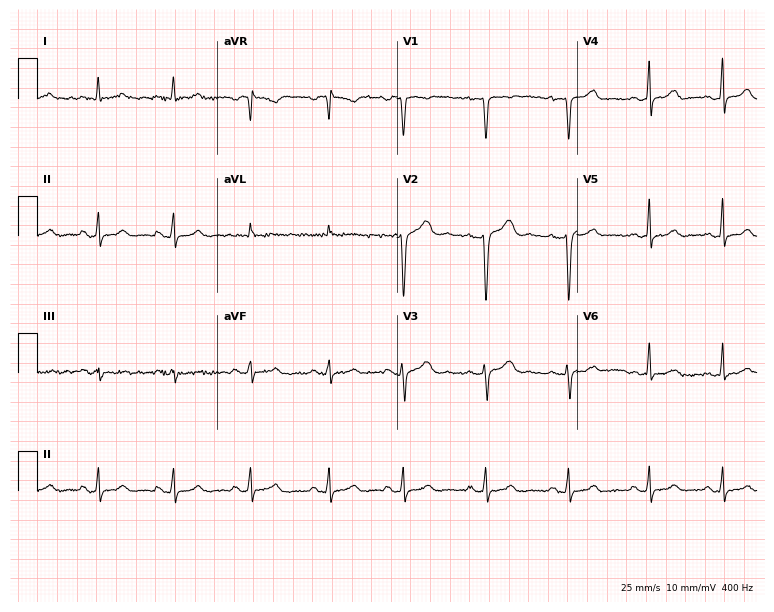
12-lead ECG from a 31-year-old female patient. Recorded interpretation: within normal limits.